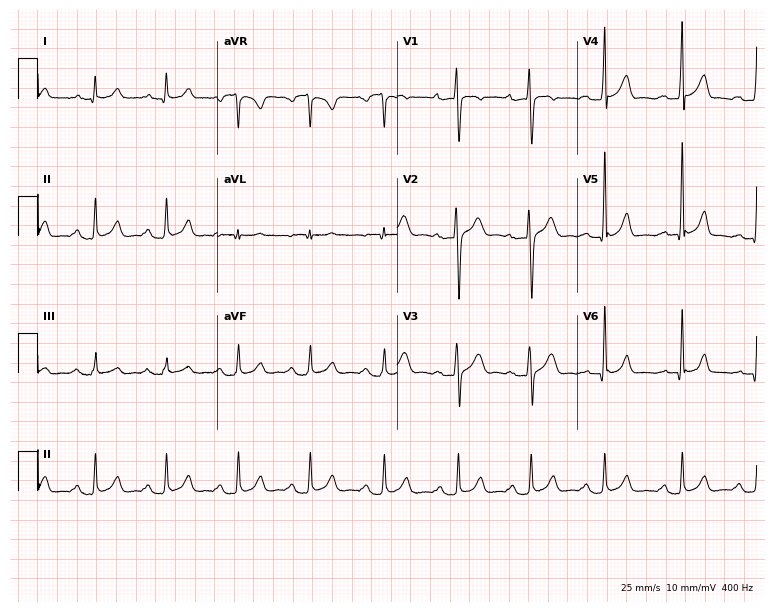
12-lead ECG from a 31-year-old male. Findings include first-degree AV block.